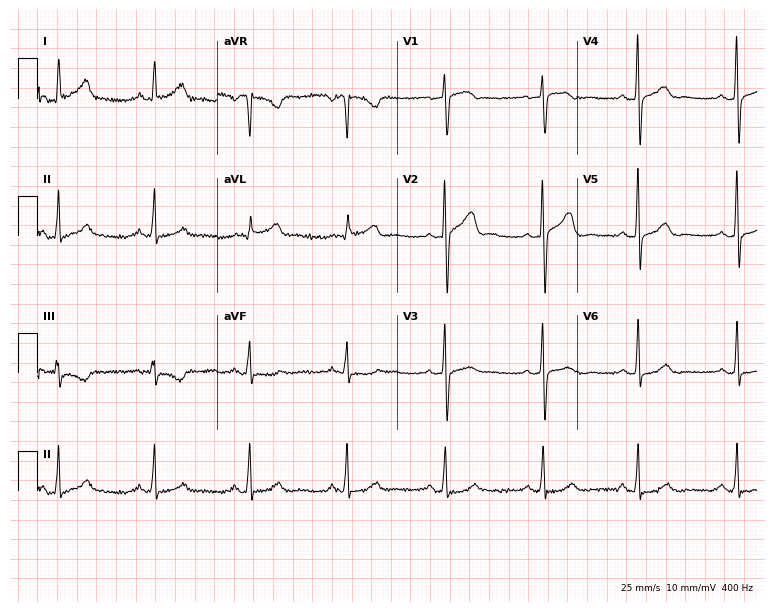
12-lead ECG from a female, 53 years old. Recorded interpretation: within normal limits.